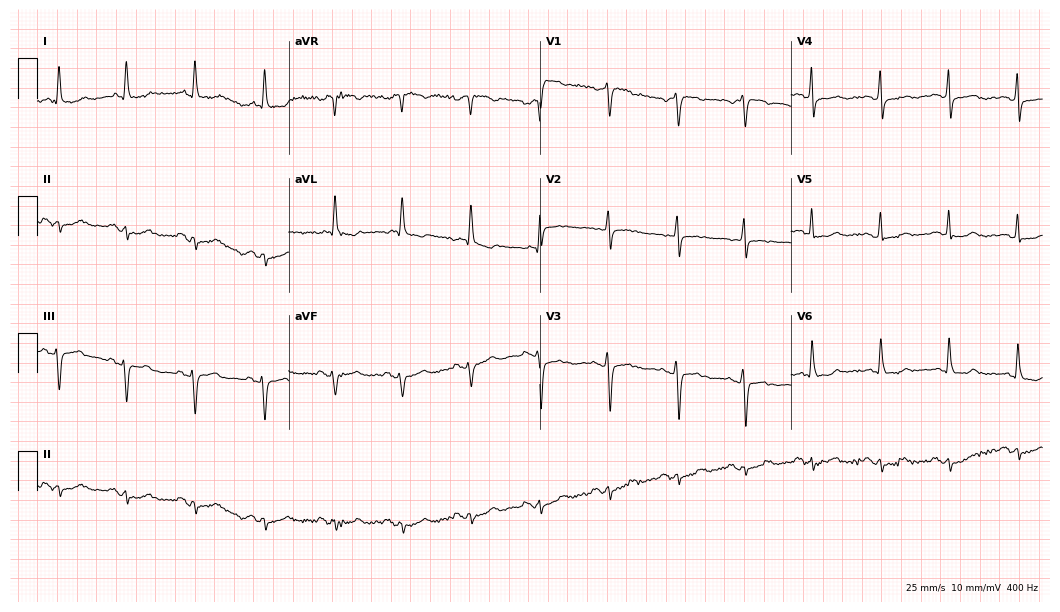
12-lead ECG from a female, 79 years old. No first-degree AV block, right bundle branch block (RBBB), left bundle branch block (LBBB), sinus bradycardia, atrial fibrillation (AF) or sinus tachycardia recorded for this tracing. Other findings, if any, are not listed.